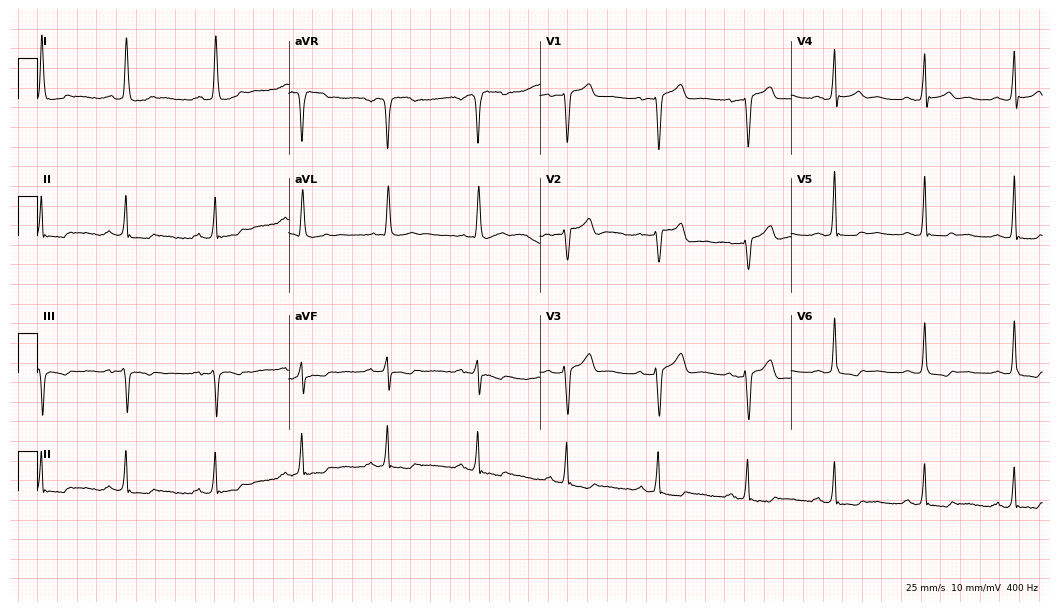
12-lead ECG from a female patient, 59 years old (10.2-second recording at 400 Hz). No first-degree AV block, right bundle branch block (RBBB), left bundle branch block (LBBB), sinus bradycardia, atrial fibrillation (AF) or sinus tachycardia recorded for this tracing. Only these six findings were labelled.